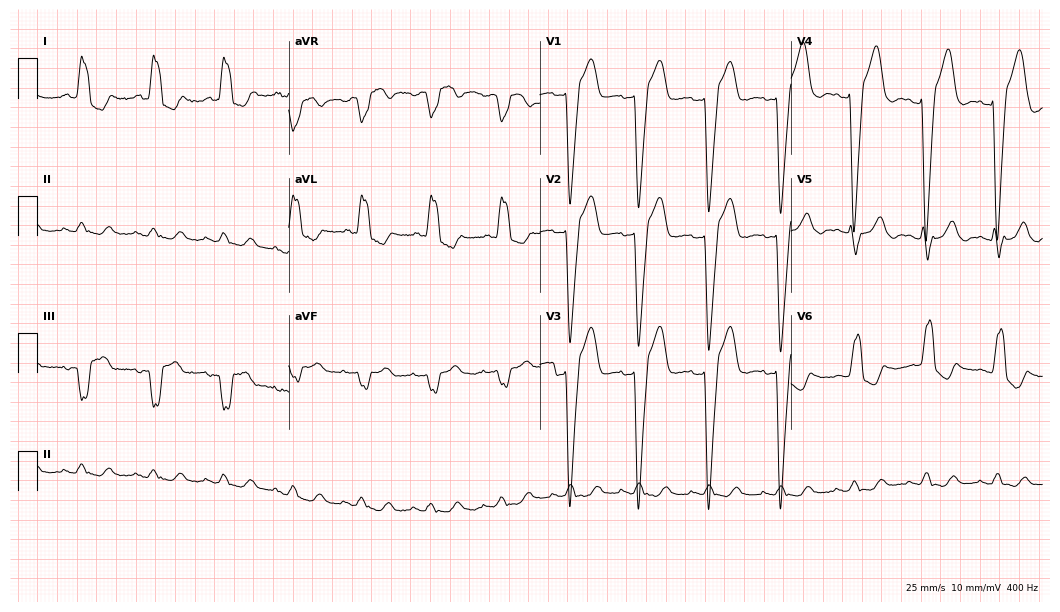
12-lead ECG from a 69-year-old woman. Findings include left bundle branch block.